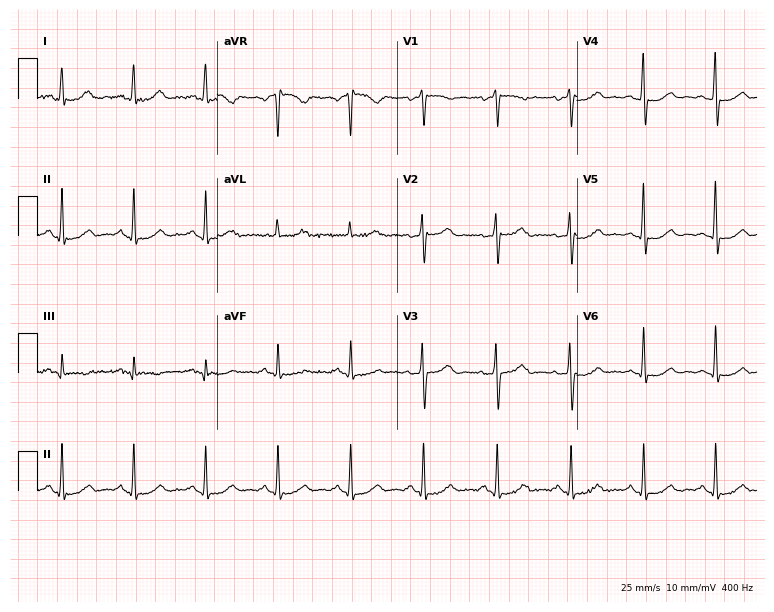
Electrocardiogram, a woman, 60 years old. Of the six screened findings (first-degree AV block, right bundle branch block (RBBB), left bundle branch block (LBBB), sinus bradycardia, atrial fibrillation (AF), sinus tachycardia), none is recorded. Only these six findings were labelled.